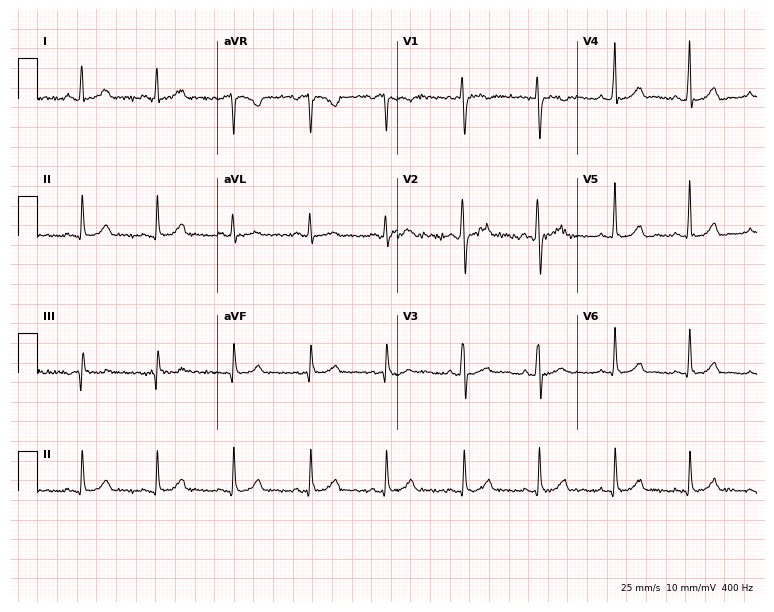
Standard 12-lead ECG recorded from a 55-year-old female (7.3-second recording at 400 Hz). Read as a normal ECG.